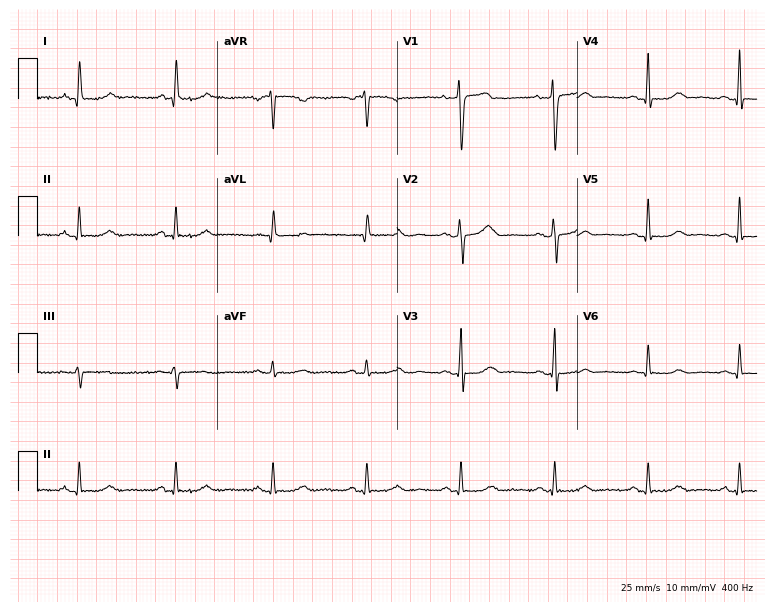
Electrocardiogram, a 55-year-old female patient. Of the six screened findings (first-degree AV block, right bundle branch block, left bundle branch block, sinus bradycardia, atrial fibrillation, sinus tachycardia), none is recorded.